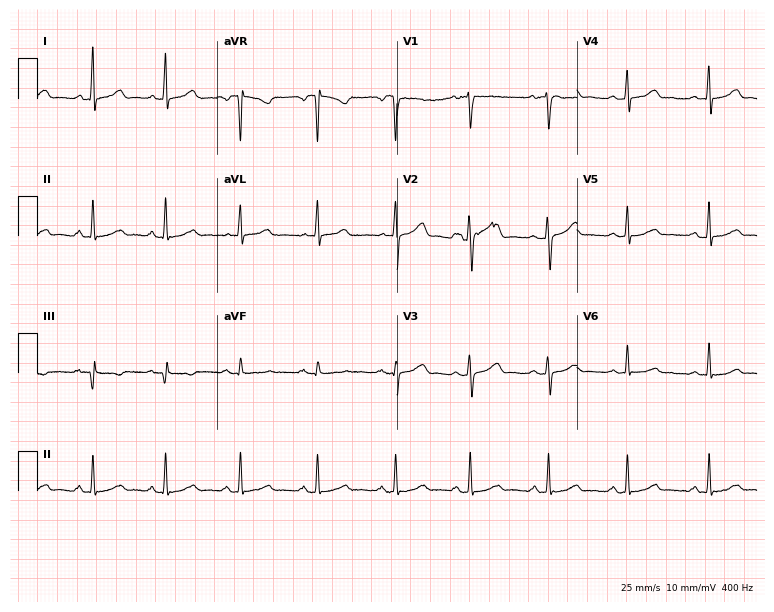
Standard 12-lead ECG recorded from a 31-year-old female patient. Read as a normal ECG.